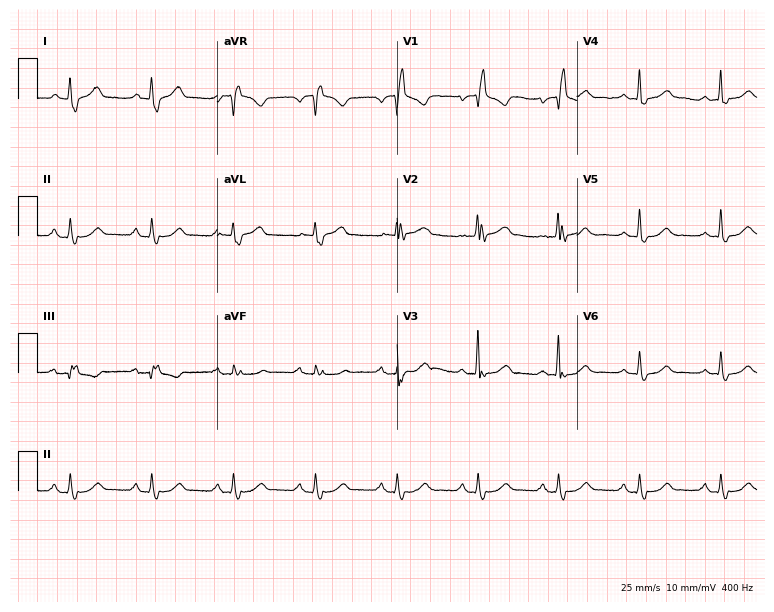
Standard 12-lead ECG recorded from a male patient, 73 years old. None of these six findings is recorded: first-degree AV block, right bundle branch block, left bundle branch block, sinus bradycardia, atrial fibrillation, sinus tachycardia.